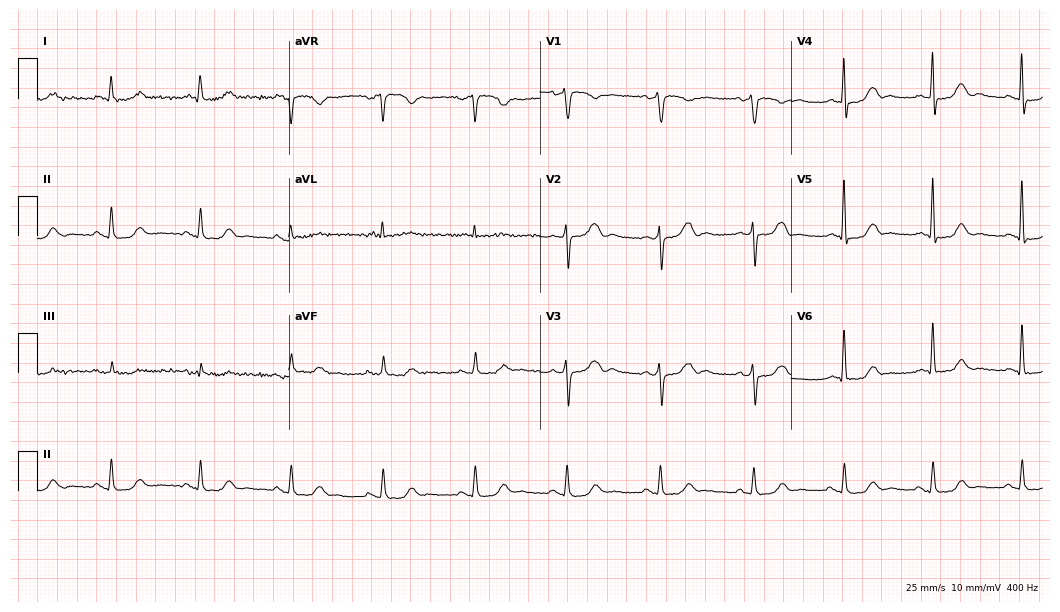
Standard 12-lead ECG recorded from a 68-year-old female patient (10.2-second recording at 400 Hz). None of these six findings is recorded: first-degree AV block, right bundle branch block (RBBB), left bundle branch block (LBBB), sinus bradycardia, atrial fibrillation (AF), sinus tachycardia. Other findings, if any, are not listed.